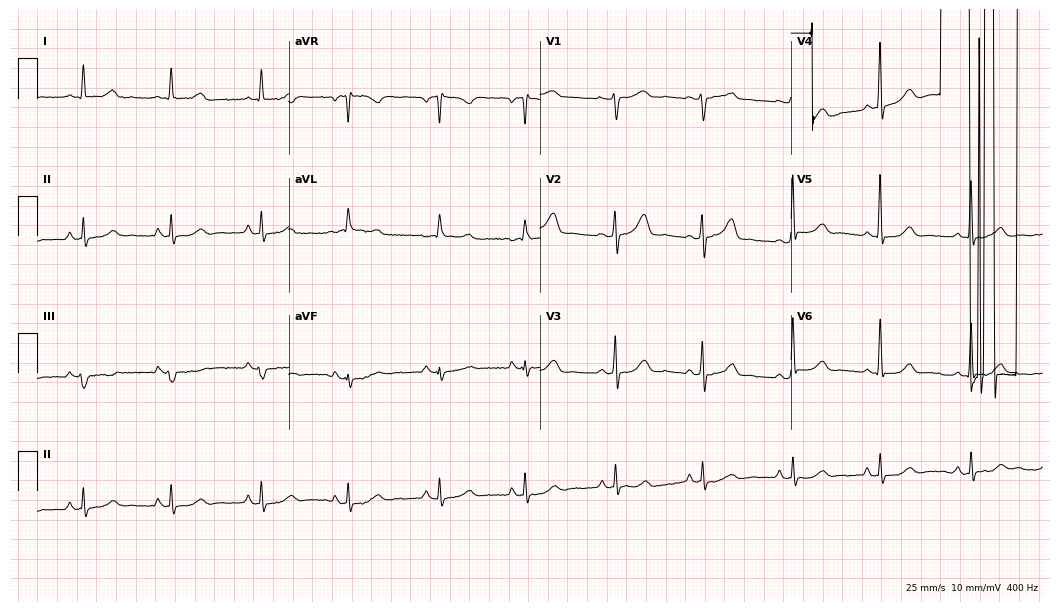
Resting 12-lead electrocardiogram (10.2-second recording at 400 Hz). Patient: a female, 71 years old. None of these six findings is recorded: first-degree AV block, right bundle branch block, left bundle branch block, sinus bradycardia, atrial fibrillation, sinus tachycardia.